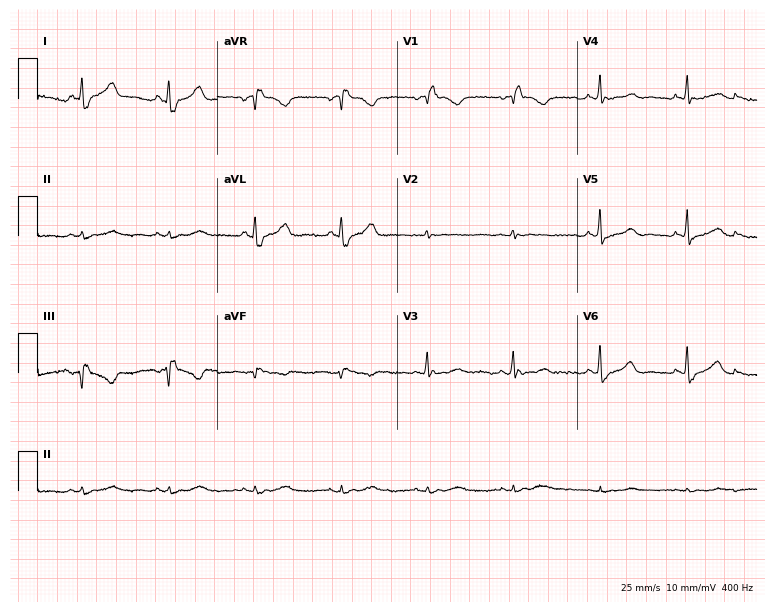
Standard 12-lead ECG recorded from a female patient, 74 years old (7.3-second recording at 400 Hz). The tracing shows right bundle branch block (RBBB).